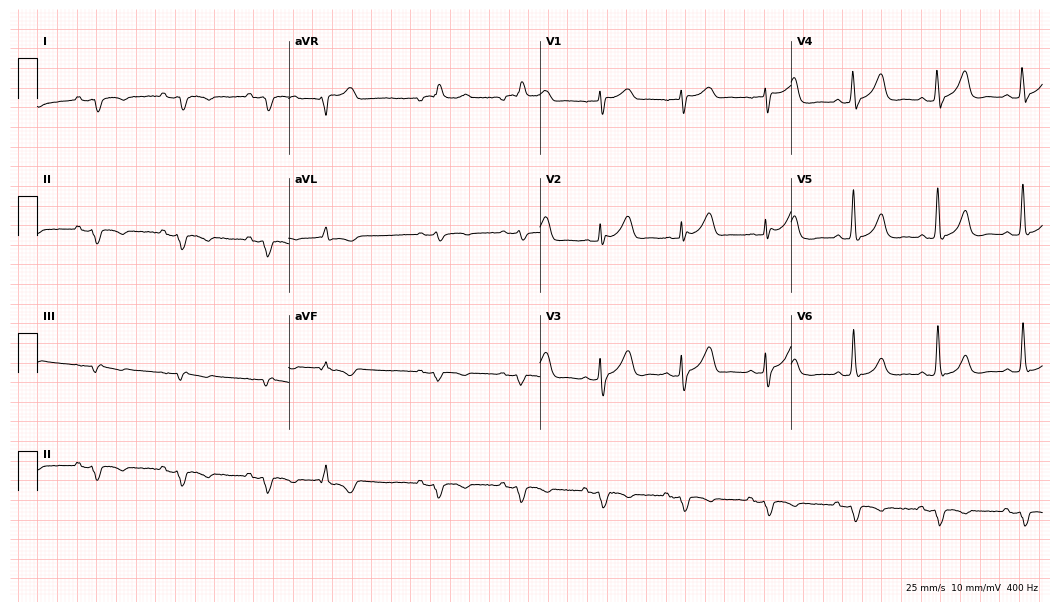
Standard 12-lead ECG recorded from a male, 75 years old. None of these six findings is recorded: first-degree AV block, right bundle branch block (RBBB), left bundle branch block (LBBB), sinus bradycardia, atrial fibrillation (AF), sinus tachycardia.